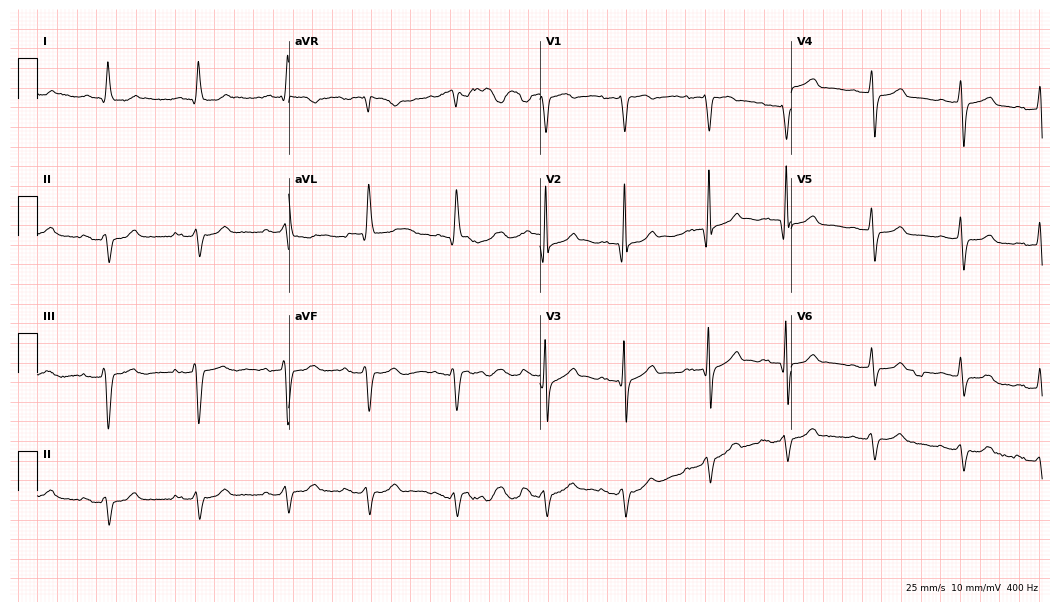
Resting 12-lead electrocardiogram. Patient: a male, 83 years old. None of these six findings is recorded: first-degree AV block, right bundle branch block, left bundle branch block, sinus bradycardia, atrial fibrillation, sinus tachycardia. Findings outside these six are not listed.